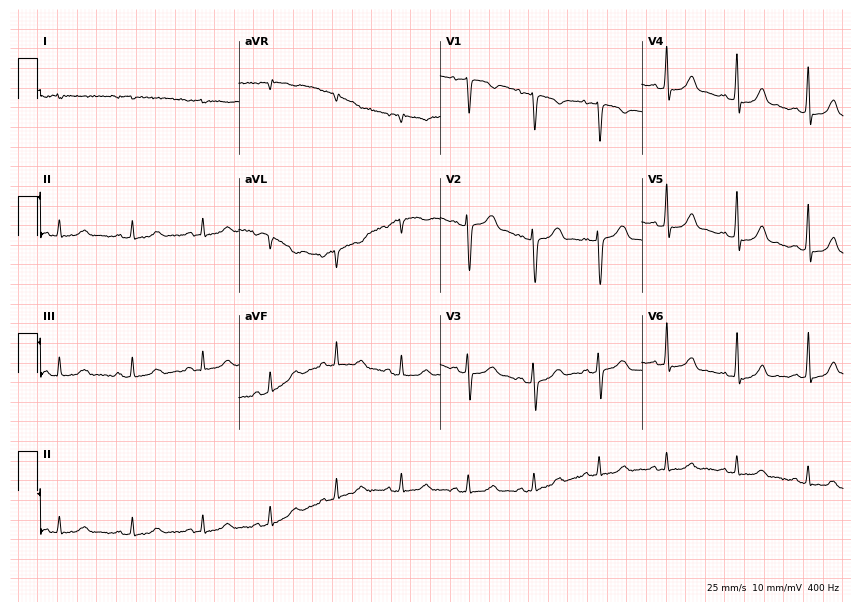
12-lead ECG from a woman, 35 years old (8.2-second recording at 400 Hz). Recorded interpretation: within normal limits.